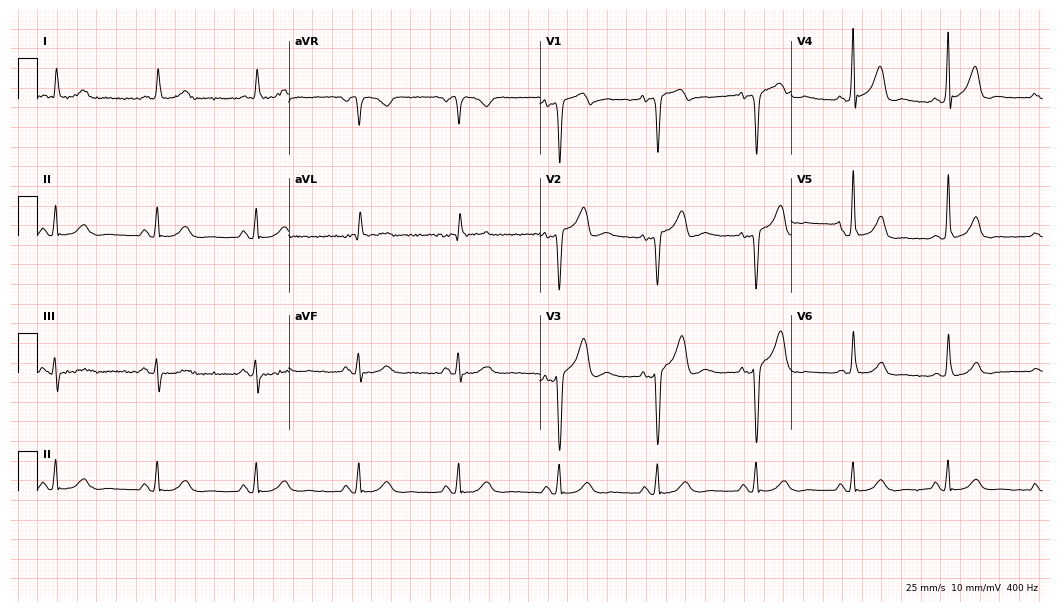
Electrocardiogram (10.2-second recording at 400 Hz), a male patient, 83 years old. Of the six screened findings (first-degree AV block, right bundle branch block, left bundle branch block, sinus bradycardia, atrial fibrillation, sinus tachycardia), none is recorded.